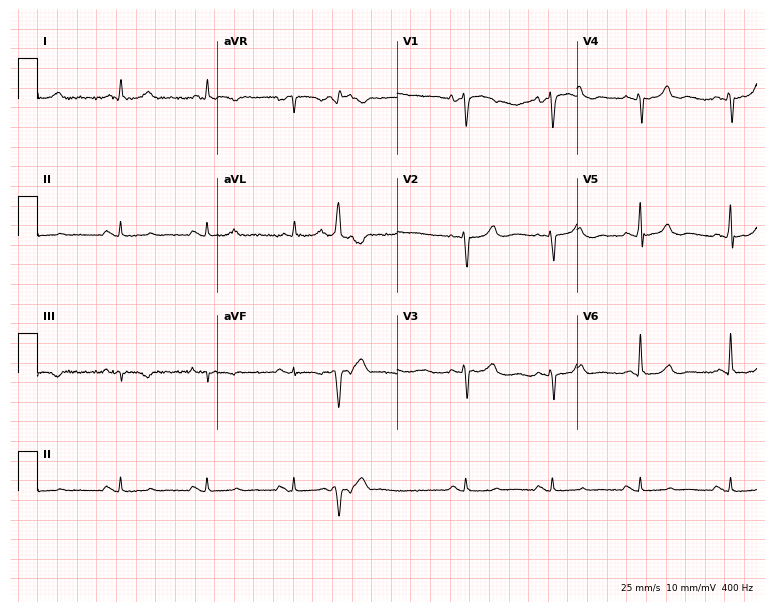
12-lead ECG from a male patient, 83 years old (7.3-second recording at 400 Hz). No first-degree AV block, right bundle branch block (RBBB), left bundle branch block (LBBB), sinus bradycardia, atrial fibrillation (AF) or sinus tachycardia recorded for this tracing.